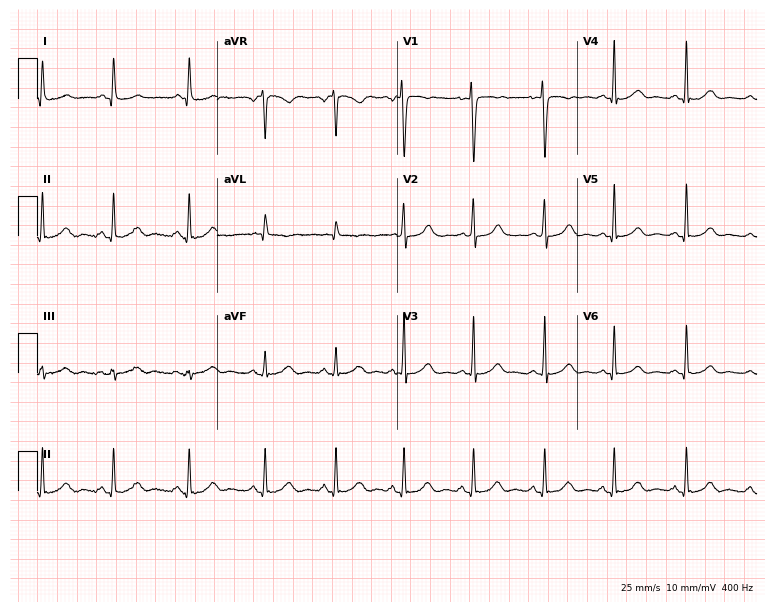
Resting 12-lead electrocardiogram (7.3-second recording at 400 Hz). Patient: a 25-year-old female. Read as a normal ECG.